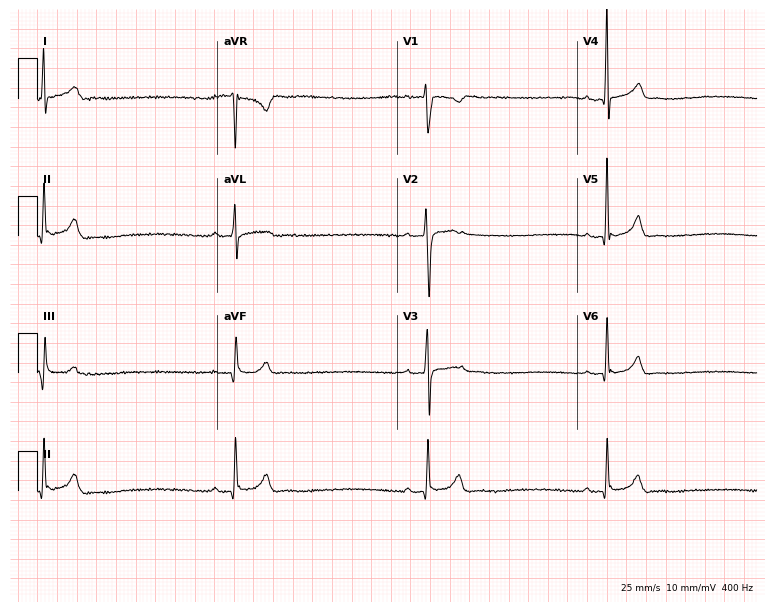
12-lead ECG from a 34-year-old male patient. Shows first-degree AV block, sinus bradycardia (a sinus rate of 50 beats per minute or less).